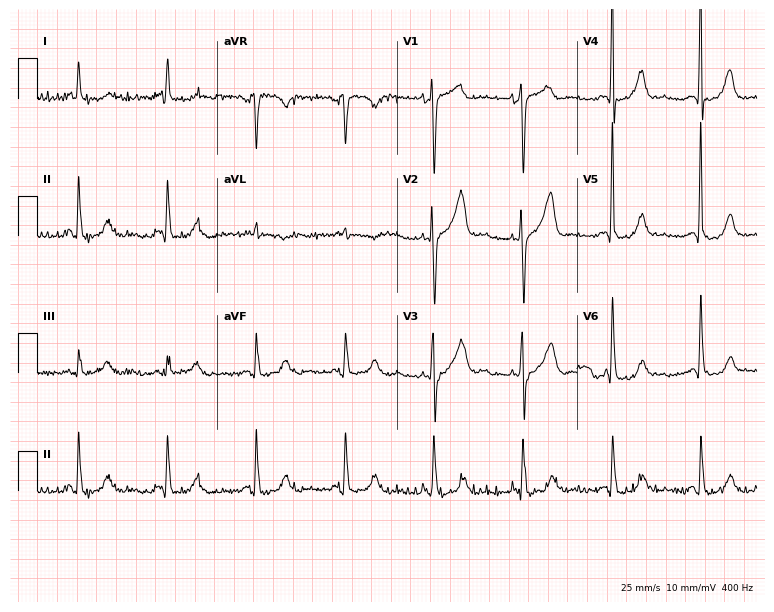
12-lead ECG from a 72-year-old female patient (7.3-second recording at 400 Hz). Recorded interpretation: within normal limits.